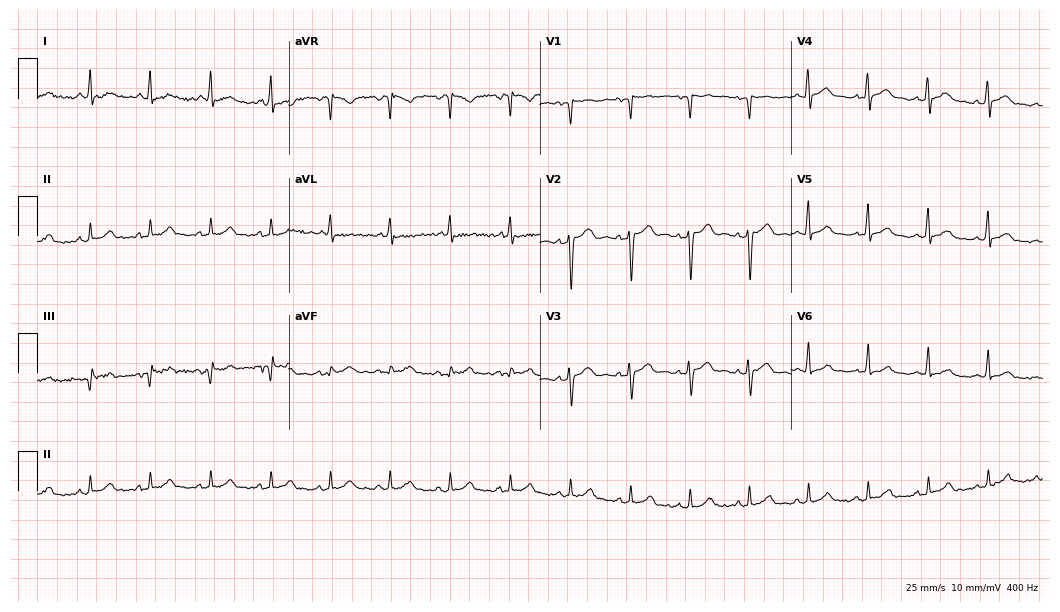
Electrocardiogram, a female patient, 69 years old. Overall reading on record: normal ECG.